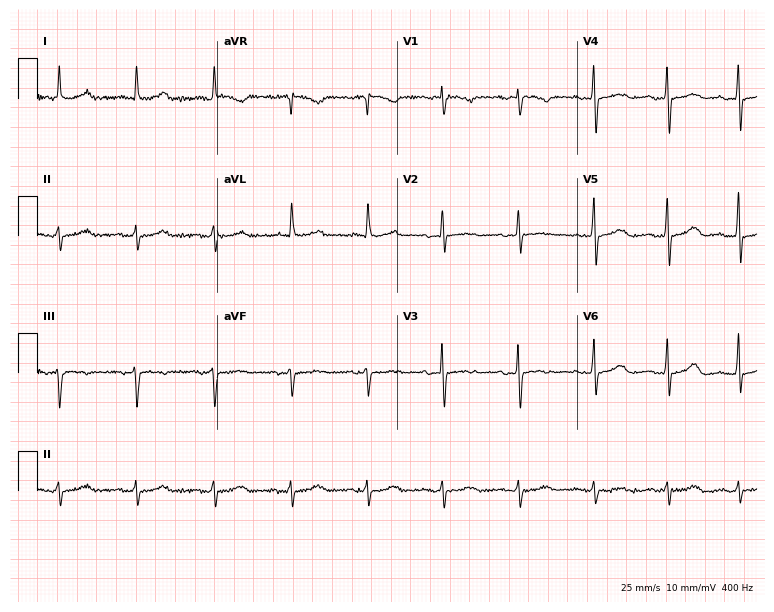
ECG — an 85-year-old woman. Screened for six findings — first-degree AV block, right bundle branch block, left bundle branch block, sinus bradycardia, atrial fibrillation, sinus tachycardia — none is recorded.